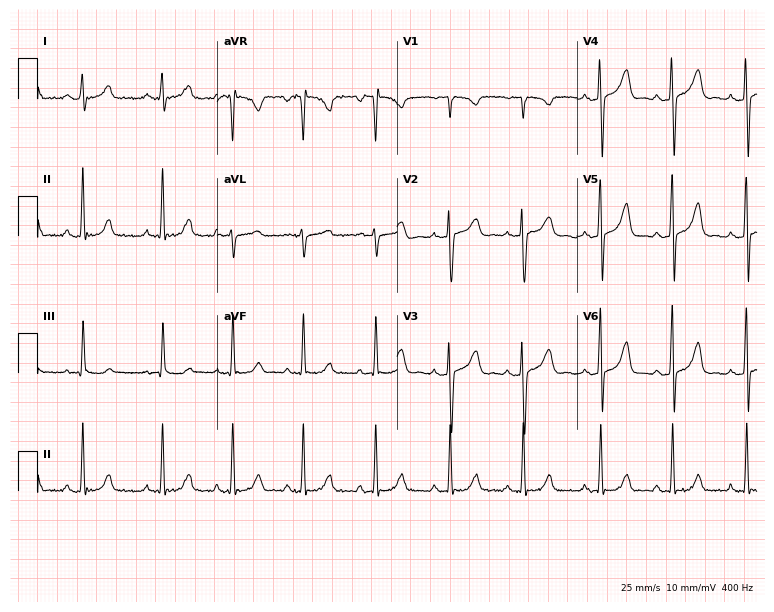
ECG — a female, 17 years old. Labelled as a normal ECG.